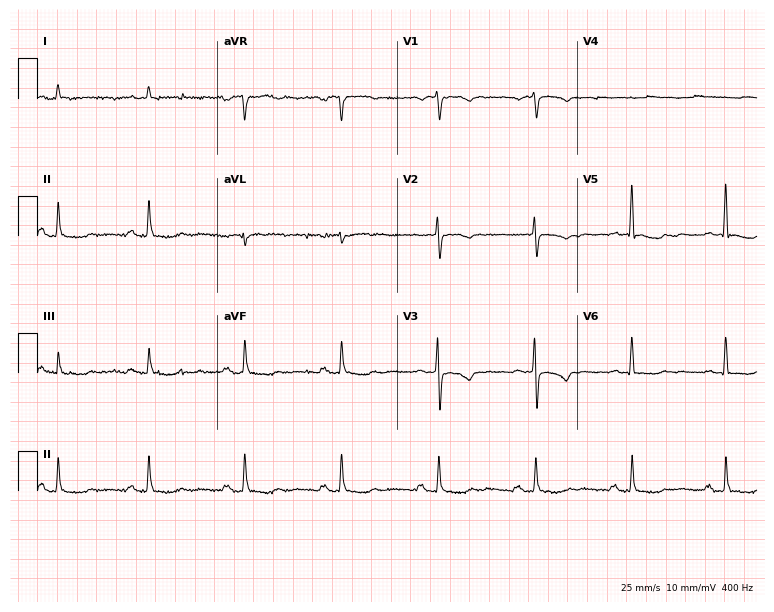
ECG — a male patient, 74 years old. Screened for six findings — first-degree AV block, right bundle branch block (RBBB), left bundle branch block (LBBB), sinus bradycardia, atrial fibrillation (AF), sinus tachycardia — none is recorded.